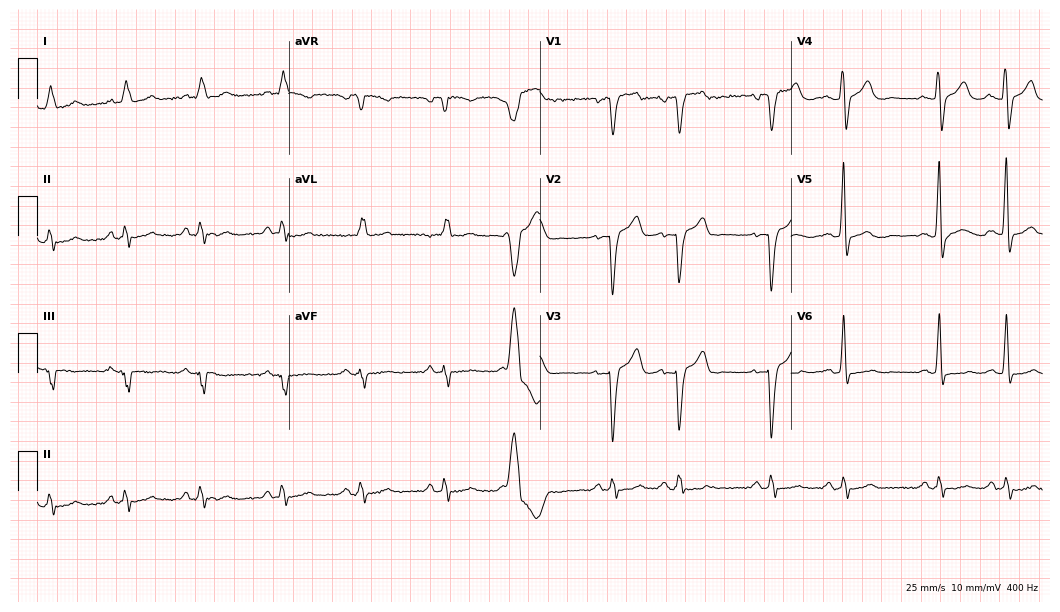
Standard 12-lead ECG recorded from a man, 61 years old. None of these six findings is recorded: first-degree AV block, right bundle branch block (RBBB), left bundle branch block (LBBB), sinus bradycardia, atrial fibrillation (AF), sinus tachycardia. Findings outside these six are not listed.